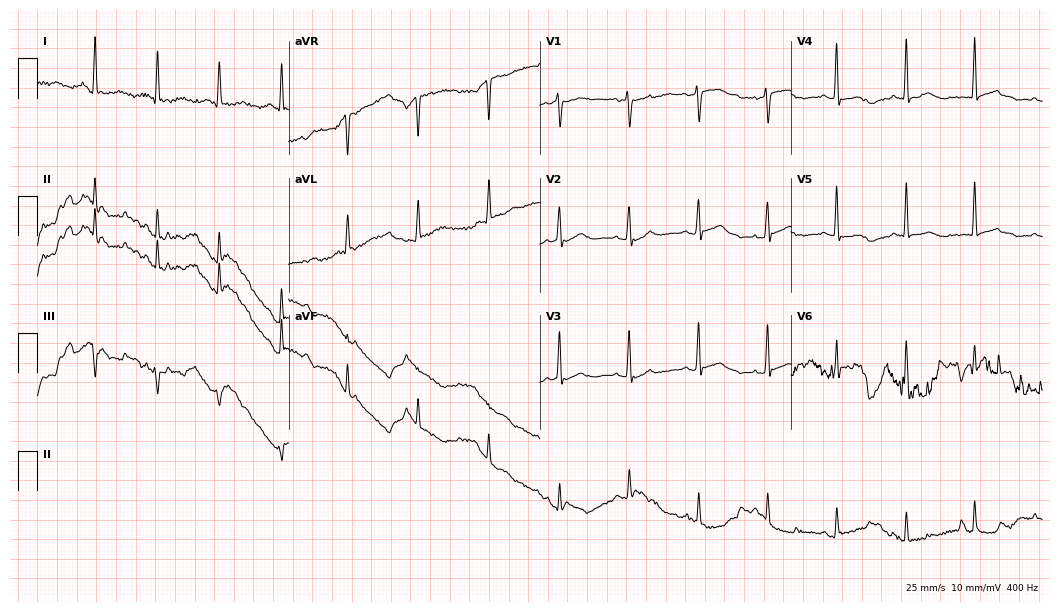
Electrocardiogram (10.2-second recording at 400 Hz), a woman, 52 years old. Overall reading on record: normal ECG.